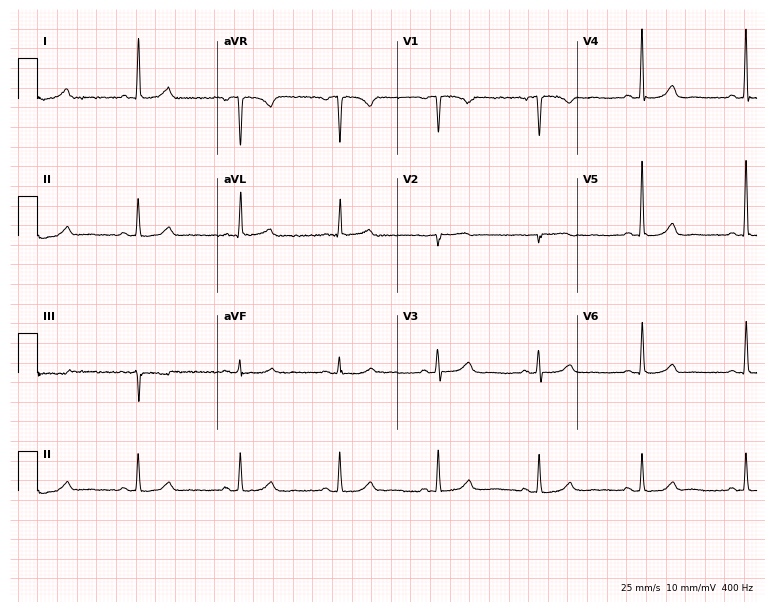
Standard 12-lead ECG recorded from a woman, 67 years old (7.3-second recording at 400 Hz). Read as a normal ECG.